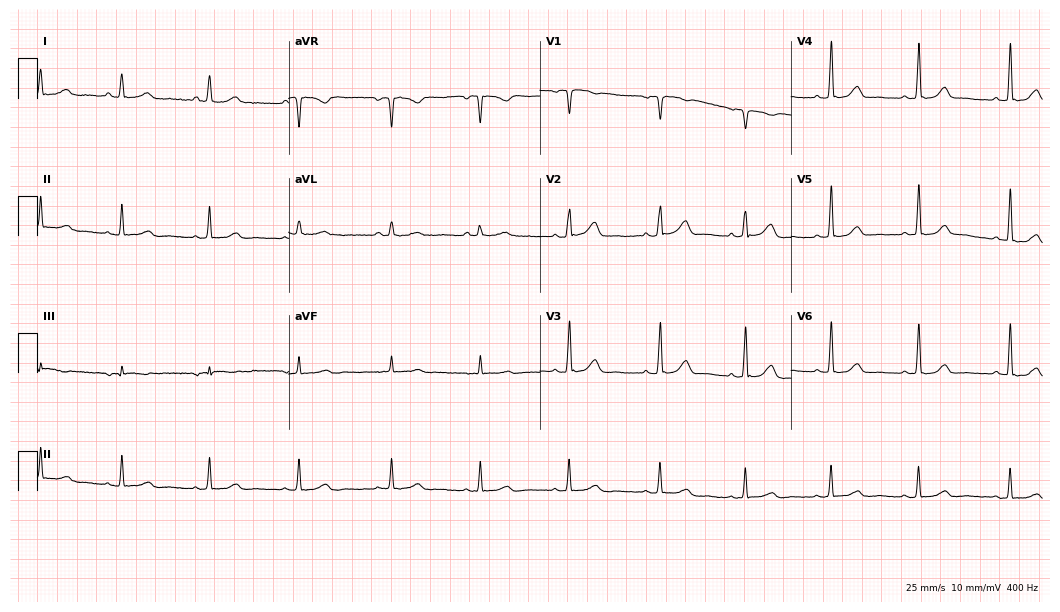
Standard 12-lead ECG recorded from a 53-year-old woman (10.2-second recording at 400 Hz). Read as a normal ECG.